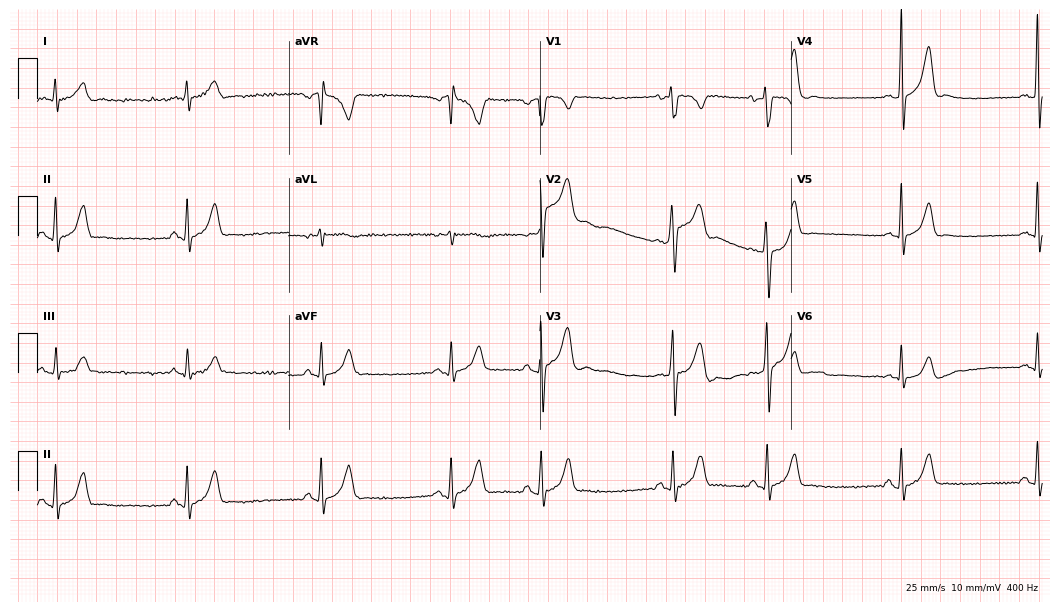
ECG — an 18-year-old man. Screened for six findings — first-degree AV block, right bundle branch block (RBBB), left bundle branch block (LBBB), sinus bradycardia, atrial fibrillation (AF), sinus tachycardia — none is recorded. Other findings, if any, are not listed.